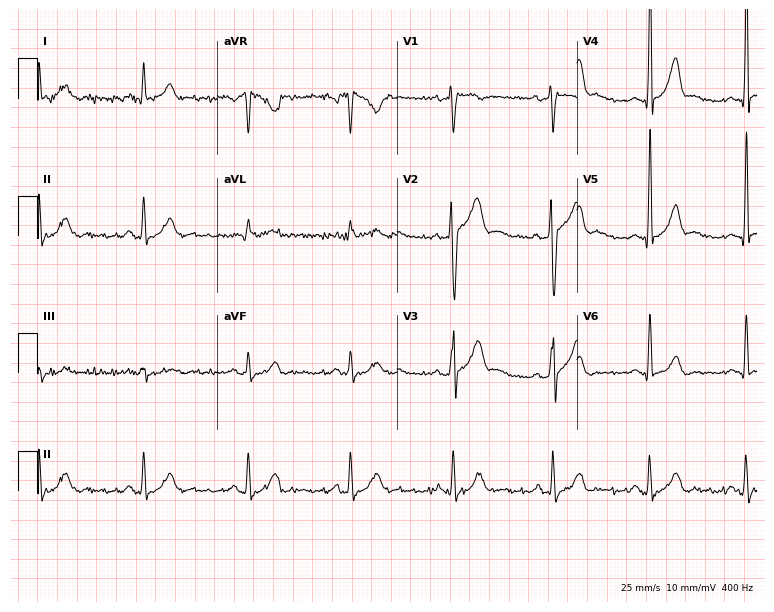
Electrocardiogram, a male patient, 44 years old. Of the six screened findings (first-degree AV block, right bundle branch block, left bundle branch block, sinus bradycardia, atrial fibrillation, sinus tachycardia), none is recorded.